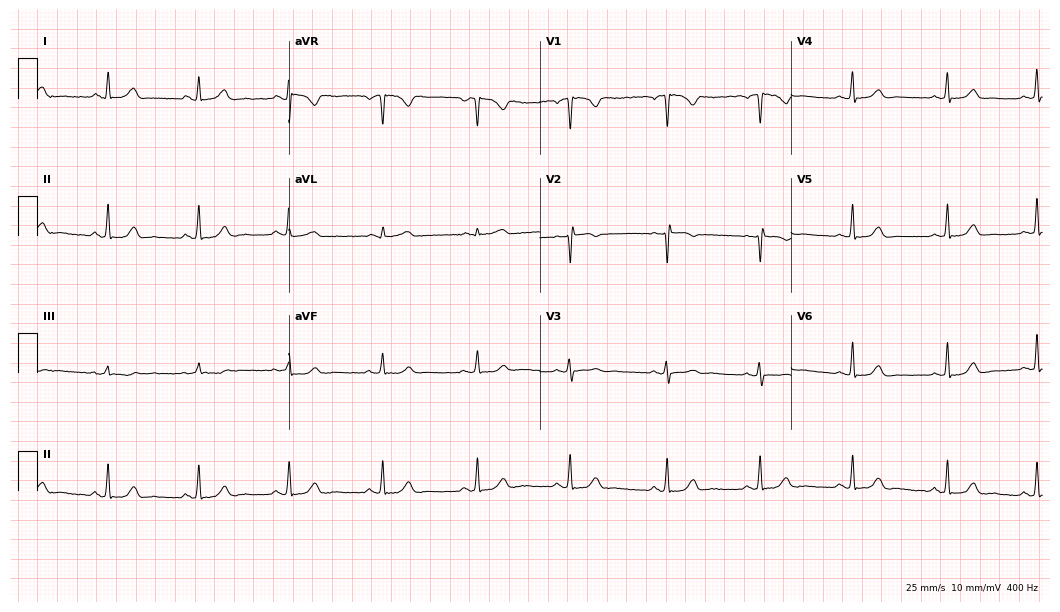
12-lead ECG from a female patient, 30 years old. Screened for six findings — first-degree AV block, right bundle branch block, left bundle branch block, sinus bradycardia, atrial fibrillation, sinus tachycardia — none is recorded.